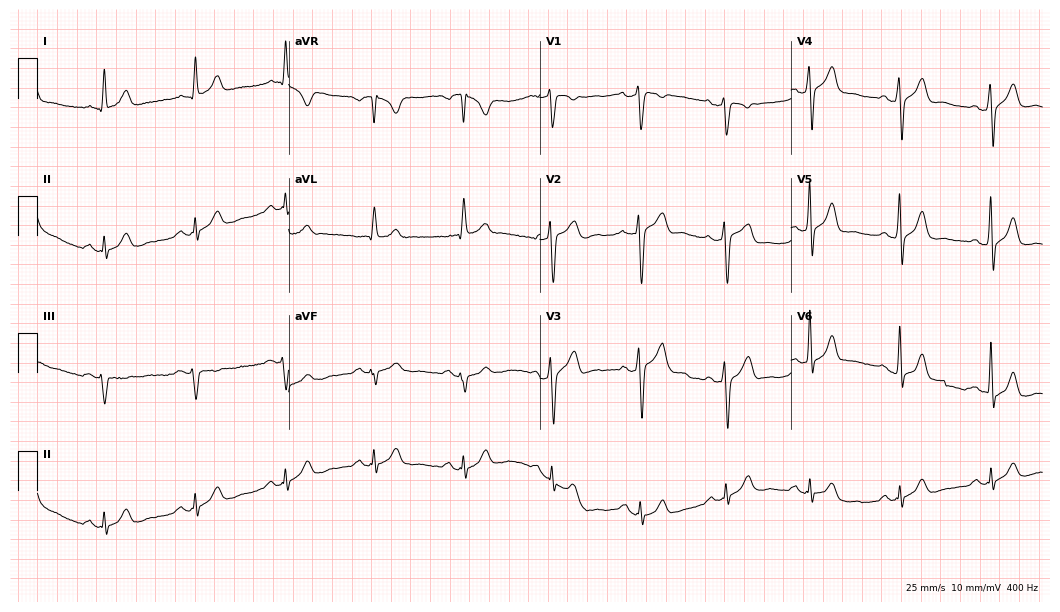
Electrocardiogram, a 50-year-old male. Overall reading on record: normal ECG.